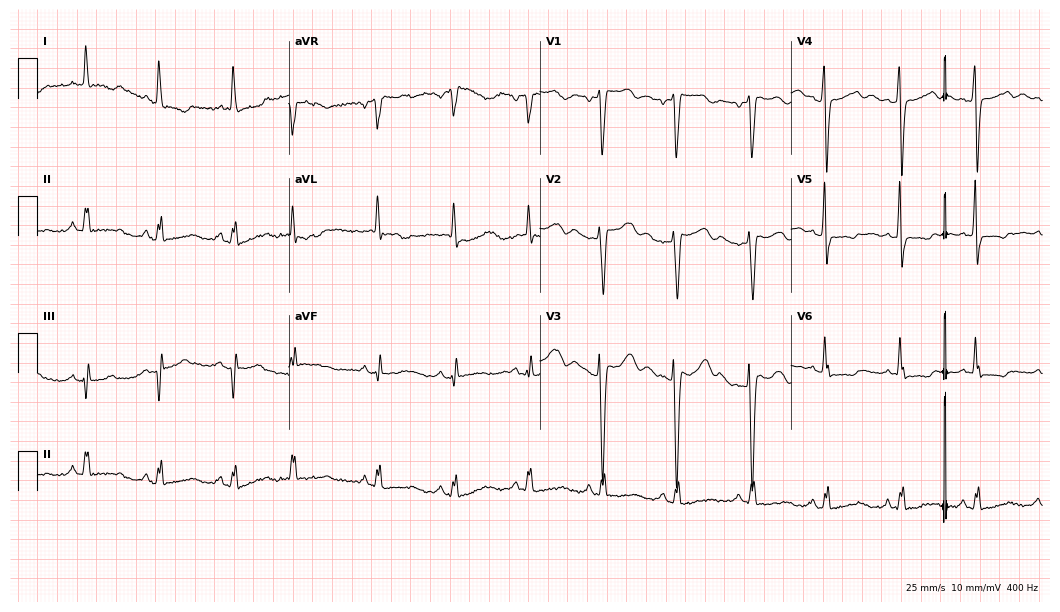
12-lead ECG (10.2-second recording at 400 Hz) from a female, 85 years old. Screened for six findings — first-degree AV block, right bundle branch block, left bundle branch block, sinus bradycardia, atrial fibrillation, sinus tachycardia — none is recorded.